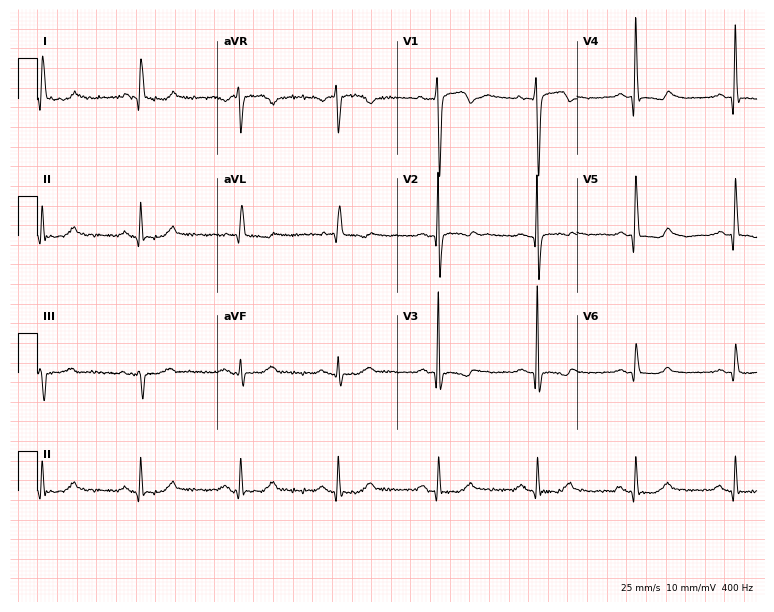
12-lead ECG from an 81-year-old woman. No first-degree AV block, right bundle branch block, left bundle branch block, sinus bradycardia, atrial fibrillation or sinus tachycardia recorded for this tracing. Findings outside these six are not listed.